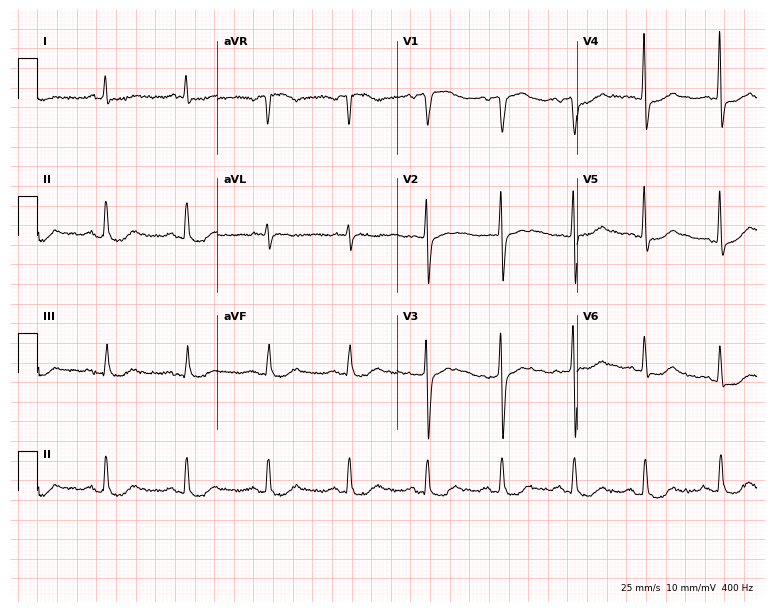
12-lead ECG from a male patient, 73 years old. Screened for six findings — first-degree AV block, right bundle branch block, left bundle branch block, sinus bradycardia, atrial fibrillation, sinus tachycardia — none is recorded.